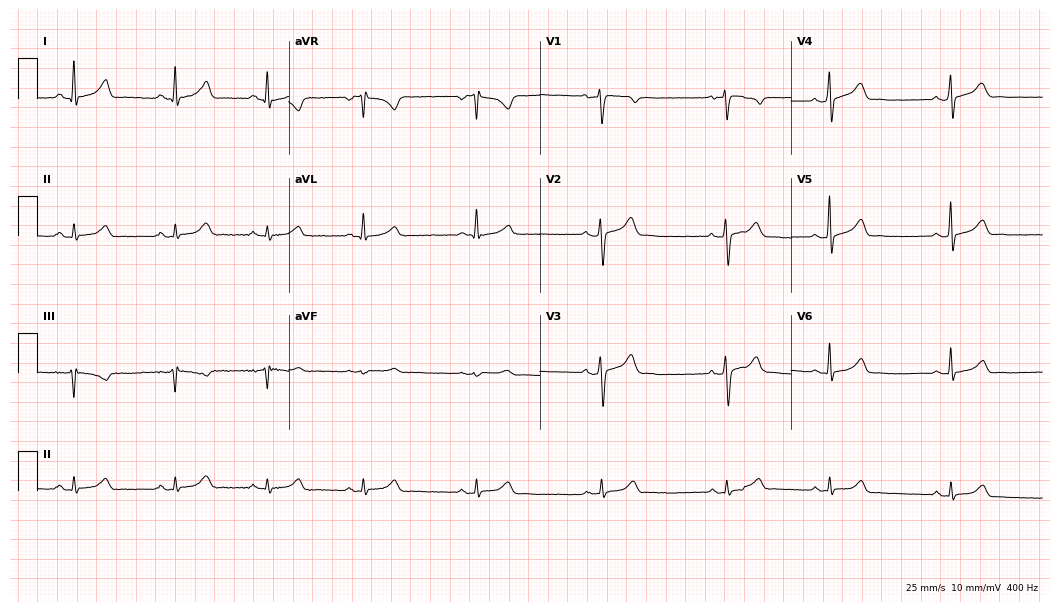
ECG (10.2-second recording at 400 Hz) — a female patient, 34 years old. Screened for six findings — first-degree AV block, right bundle branch block (RBBB), left bundle branch block (LBBB), sinus bradycardia, atrial fibrillation (AF), sinus tachycardia — none is recorded.